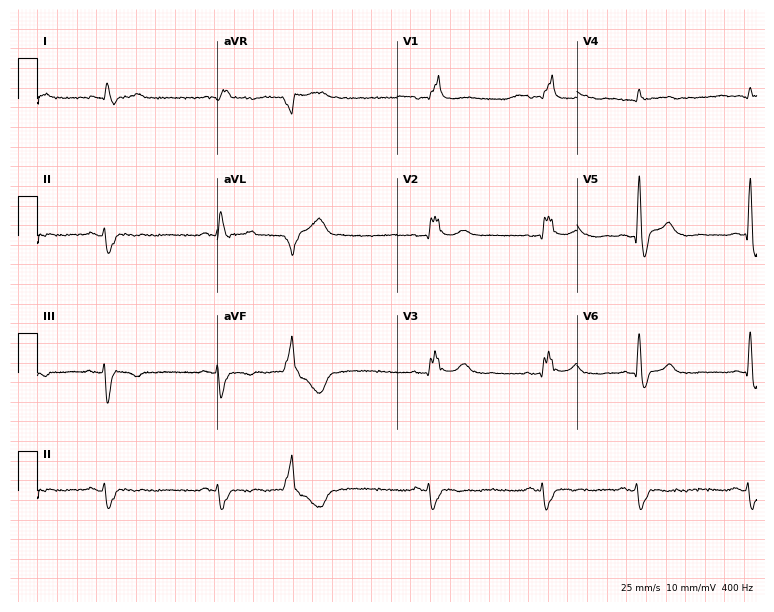
12-lead ECG from a 76-year-old male patient (7.3-second recording at 400 Hz). Shows right bundle branch block (RBBB).